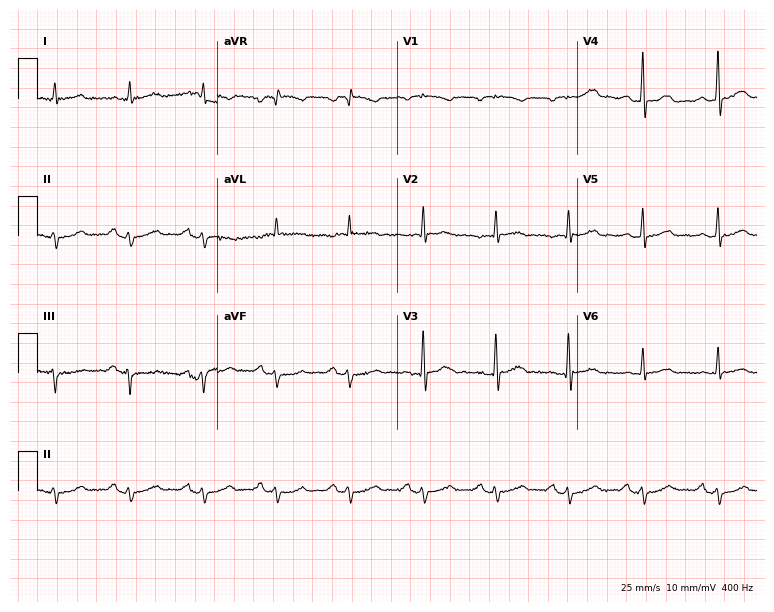
Resting 12-lead electrocardiogram. Patient: an 81-year-old male. None of these six findings is recorded: first-degree AV block, right bundle branch block, left bundle branch block, sinus bradycardia, atrial fibrillation, sinus tachycardia. Other findings, if any, are not listed.